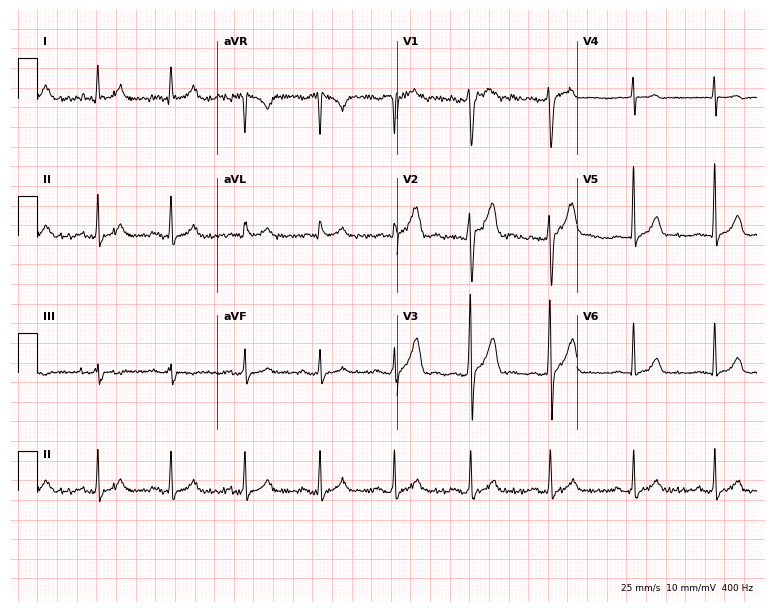
12-lead ECG from a male, 28 years old (7.3-second recording at 400 Hz). Recorded interpretation: within normal limits.